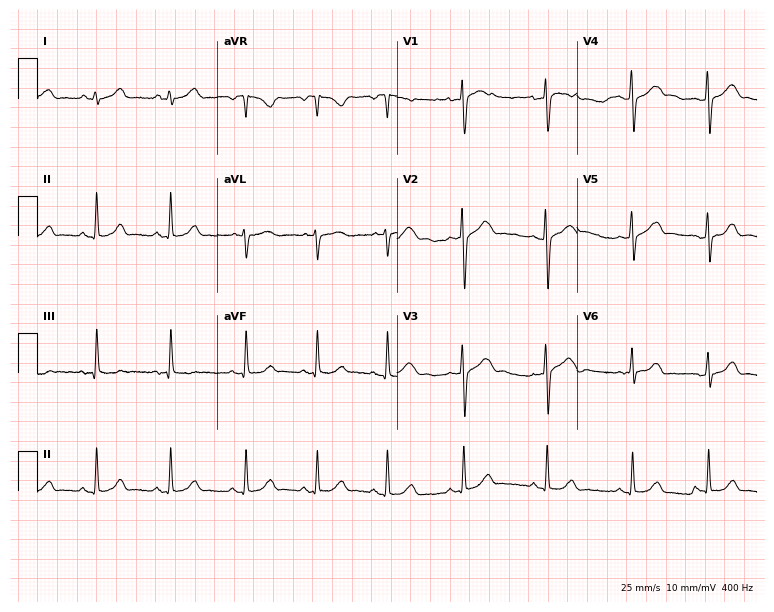
Electrocardiogram, a woman, 21 years old. Of the six screened findings (first-degree AV block, right bundle branch block, left bundle branch block, sinus bradycardia, atrial fibrillation, sinus tachycardia), none is recorded. Only these six findings were labelled.